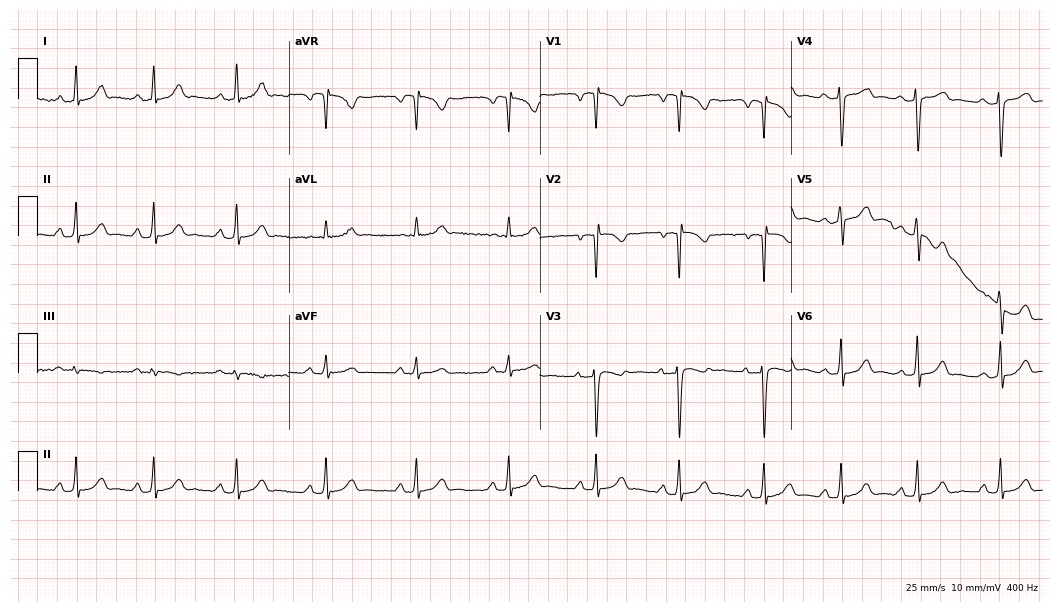
12-lead ECG from a woman, 29 years old. No first-degree AV block, right bundle branch block, left bundle branch block, sinus bradycardia, atrial fibrillation or sinus tachycardia recorded for this tracing. Only these six findings were labelled.